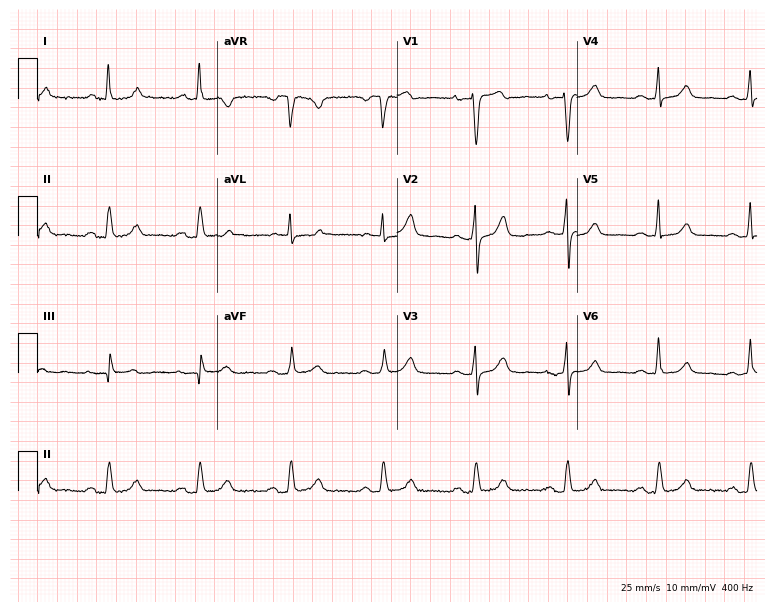
12-lead ECG (7.3-second recording at 400 Hz) from a 78-year-old female patient. Screened for six findings — first-degree AV block, right bundle branch block, left bundle branch block, sinus bradycardia, atrial fibrillation, sinus tachycardia — none is recorded. Only these six findings were labelled.